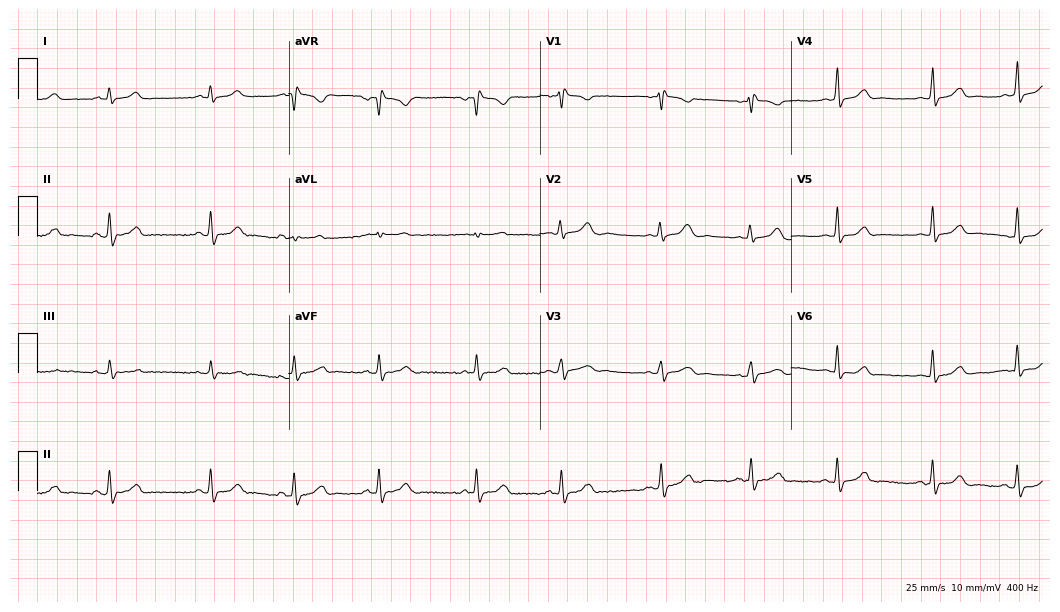
Electrocardiogram, a female patient, 19 years old. Overall reading on record: normal ECG.